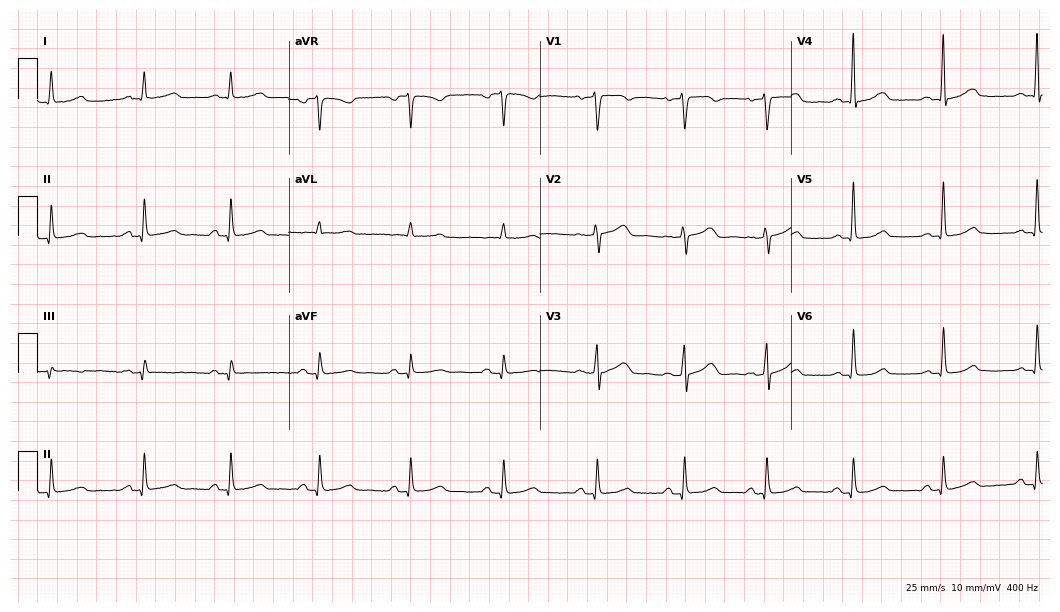
Electrocardiogram, a woman, 59 years old. Overall reading on record: normal ECG.